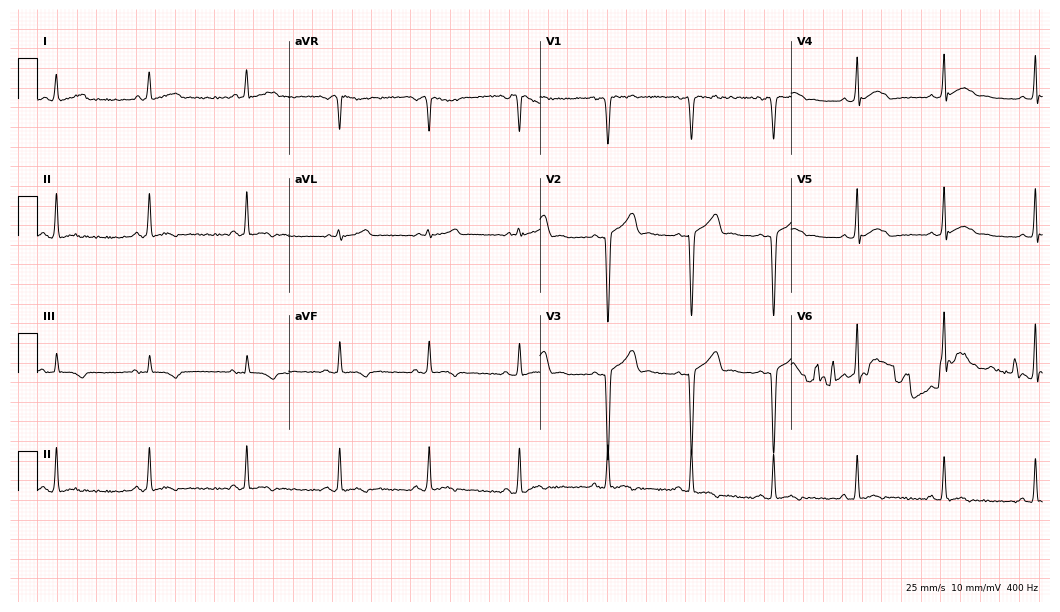
Electrocardiogram, a 23-year-old male patient. Of the six screened findings (first-degree AV block, right bundle branch block (RBBB), left bundle branch block (LBBB), sinus bradycardia, atrial fibrillation (AF), sinus tachycardia), none is recorded.